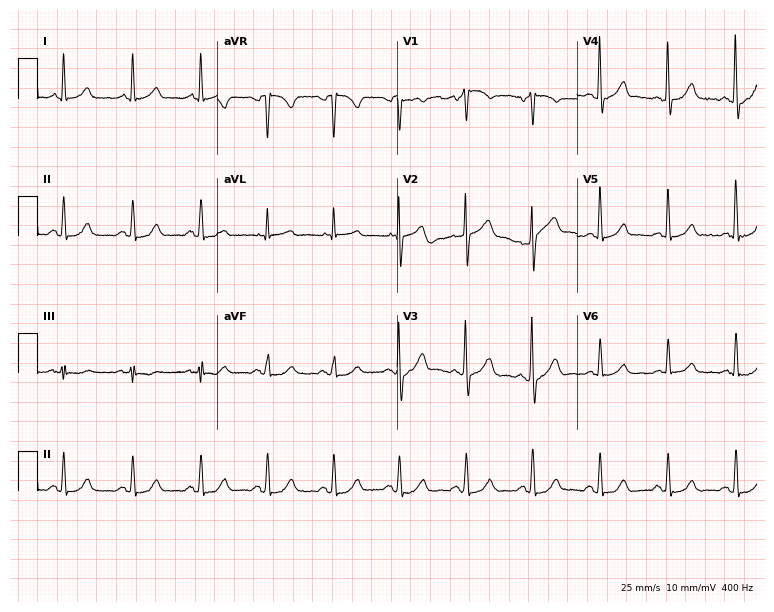
ECG — a man, 70 years old. Labelled as a normal ECG.